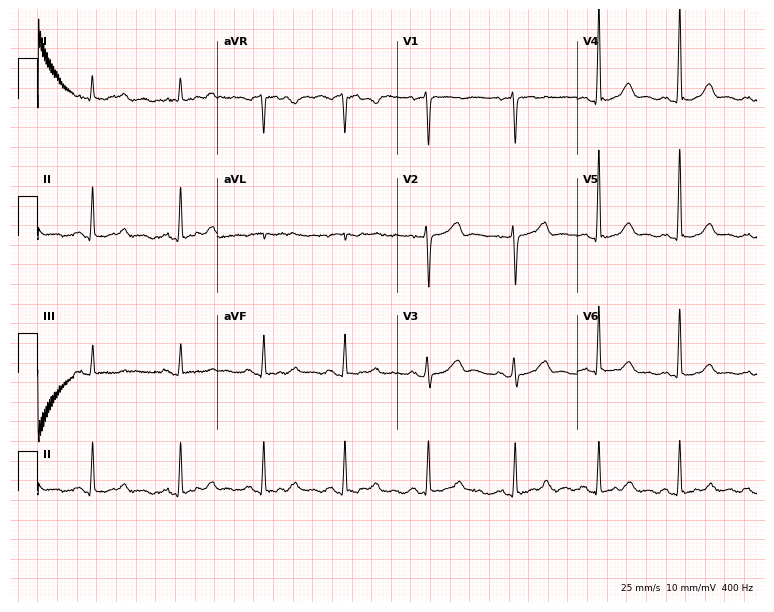
Resting 12-lead electrocardiogram. Patient: a 72-year-old female. Read as a normal ECG.